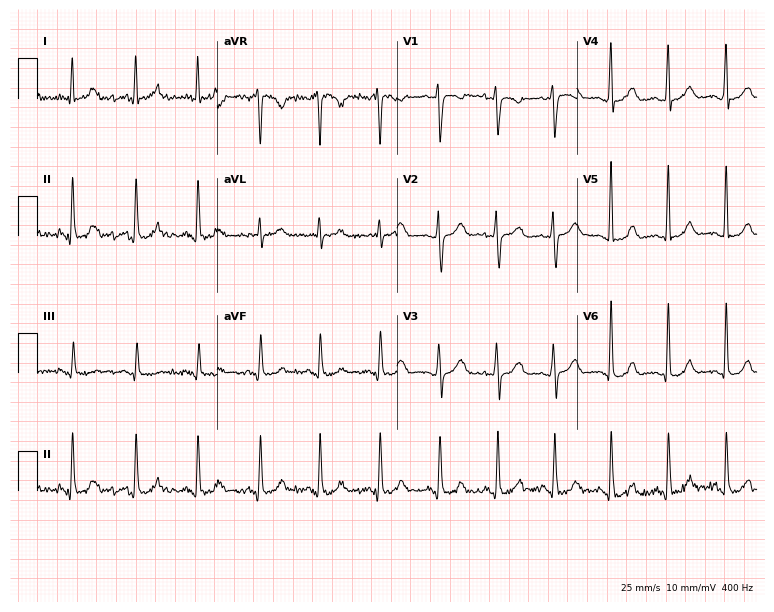
12-lead ECG from a female patient, 25 years old. Screened for six findings — first-degree AV block, right bundle branch block, left bundle branch block, sinus bradycardia, atrial fibrillation, sinus tachycardia — none is recorded.